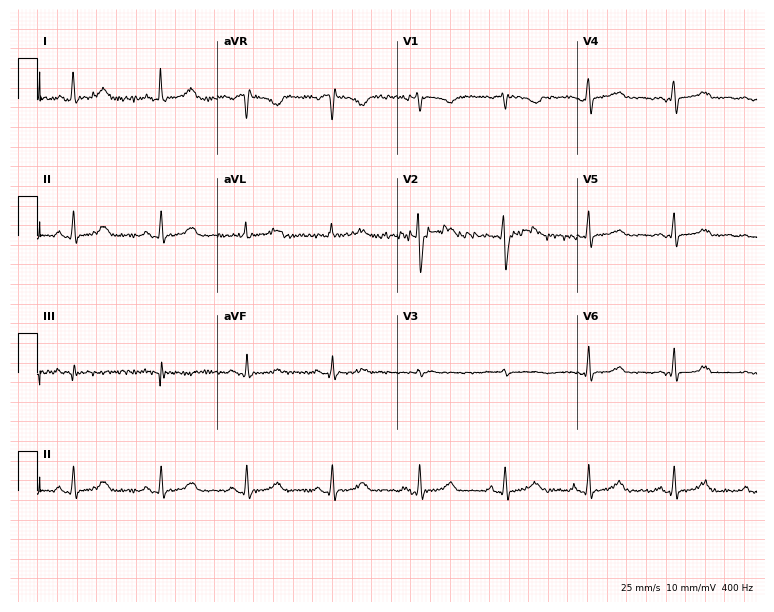
Resting 12-lead electrocardiogram (7.3-second recording at 400 Hz). Patient: a female, 52 years old. None of these six findings is recorded: first-degree AV block, right bundle branch block, left bundle branch block, sinus bradycardia, atrial fibrillation, sinus tachycardia.